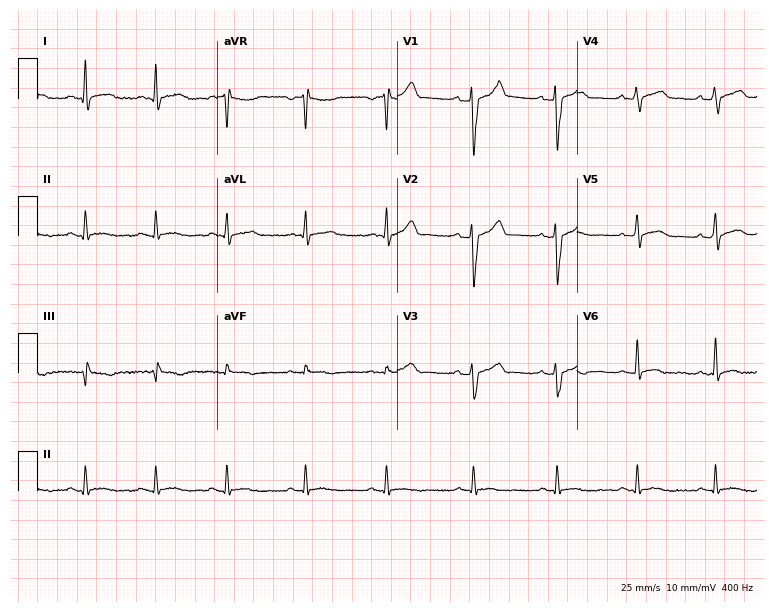
ECG (7.3-second recording at 400 Hz) — a 28-year-old man. Screened for six findings — first-degree AV block, right bundle branch block, left bundle branch block, sinus bradycardia, atrial fibrillation, sinus tachycardia — none is recorded.